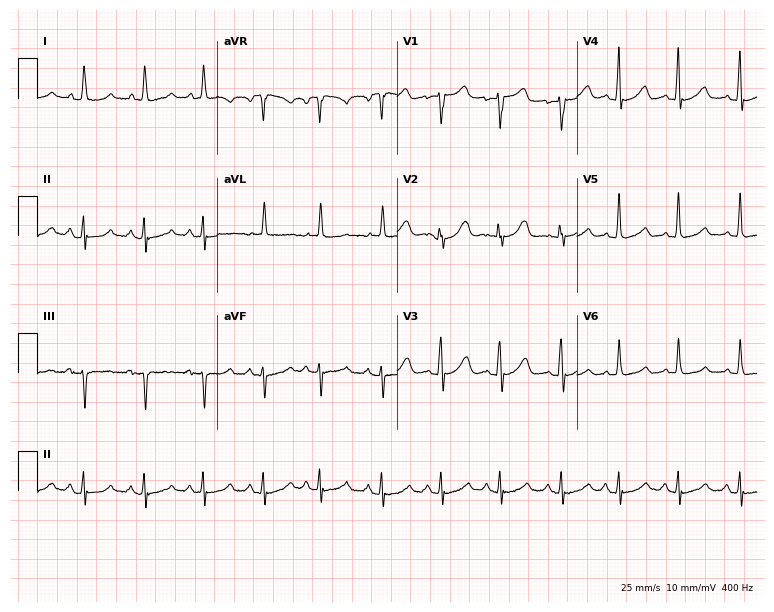
ECG (7.3-second recording at 400 Hz) — a female patient, 84 years old. Screened for six findings — first-degree AV block, right bundle branch block (RBBB), left bundle branch block (LBBB), sinus bradycardia, atrial fibrillation (AF), sinus tachycardia — none is recorded. Only these six findings were labelled.